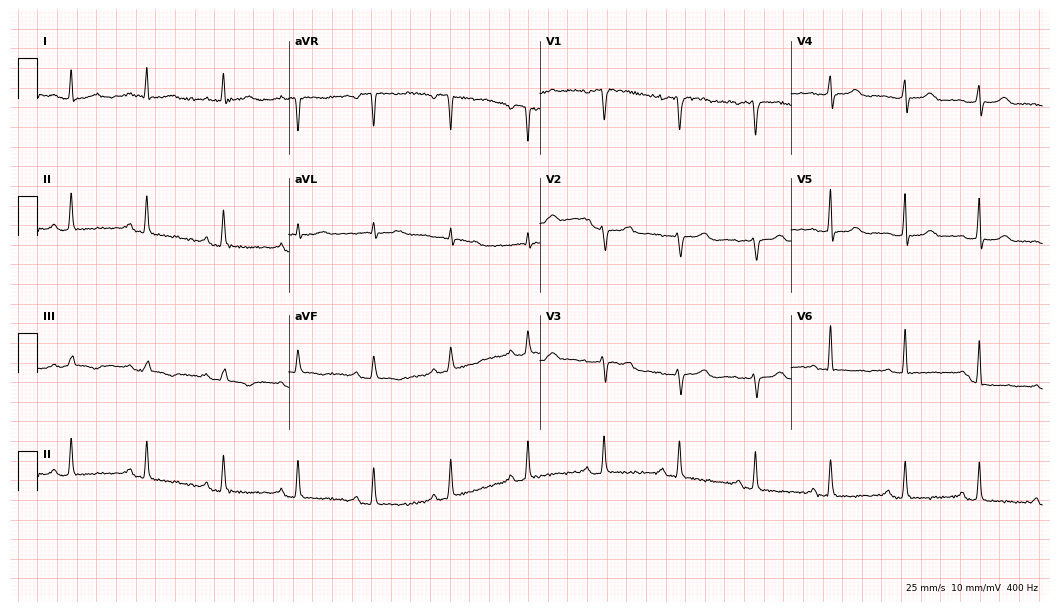
Electrocardiogram, a 57-year-old female patient. Of the six screened findings (first-degree AV block, right bundle branch block, left bundle branch block, sinus bradycardia, atrial fibrillation, sinus tachycardia), none is recorded.